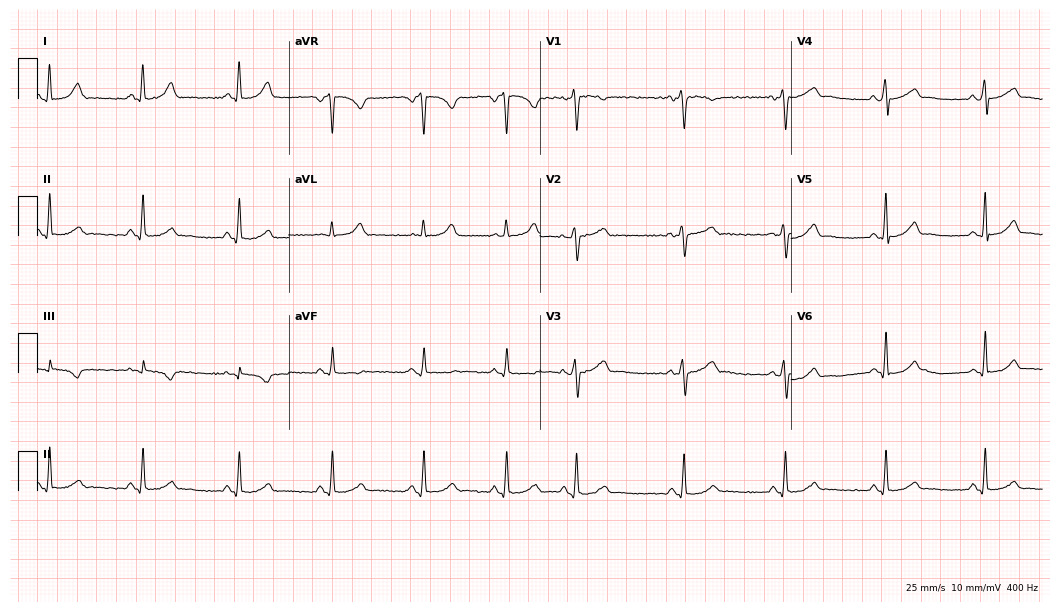
12-lead ECG from a 32-year-old female. No first-degree AV block, right bundle branch block (RBBB), left bundle branch block (LBBB), sinus bradycardia, atrial fibrillation (AF) or sinus tachycardia recorded for this tracing.